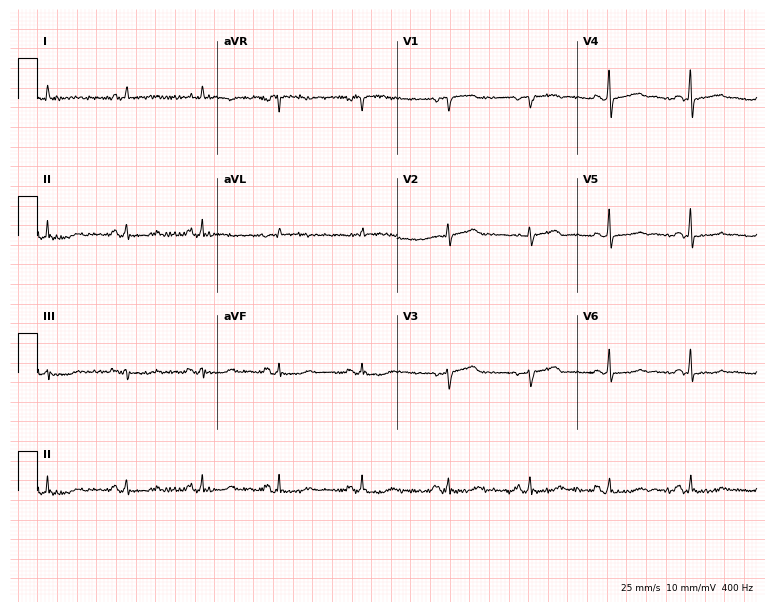
12-lead ECG from a woman, 59 years old. Screened for six findings — first-degree AV block, right bundle branch block, left bundle branch block, sinus bradycardia, atrial fibrillation, sinus tachycardia — none is recorded.